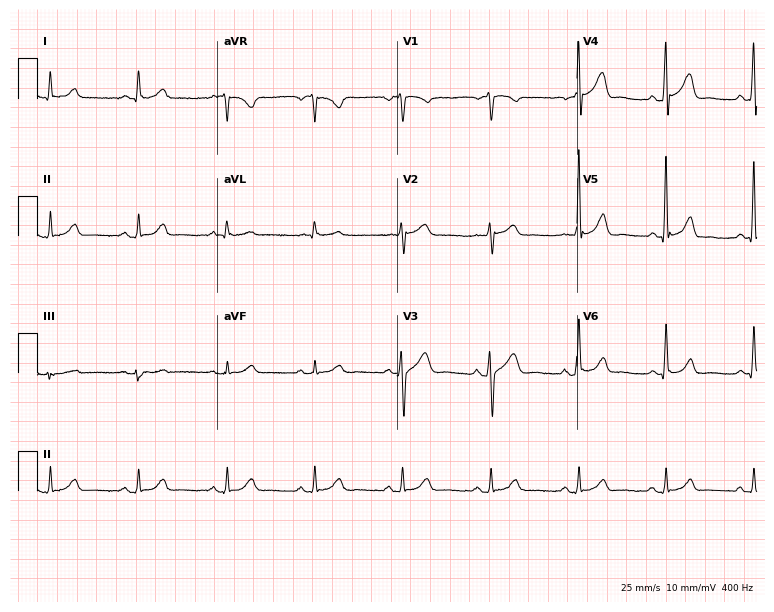
12-lead ECG from a 52-year-old man. Recorded interpretation: within normal limits.